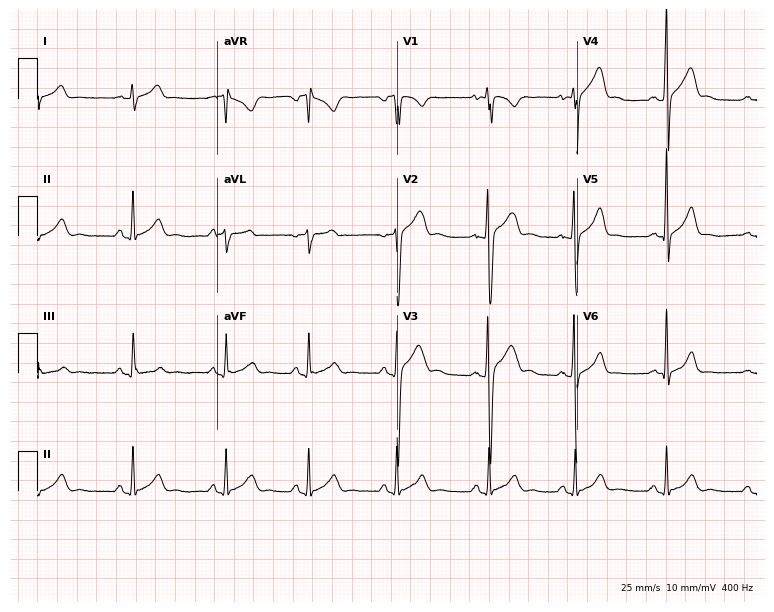
Resting 12-lead electrocardiogram. Patient: a 20-year-old male. Read as a normal ECG.